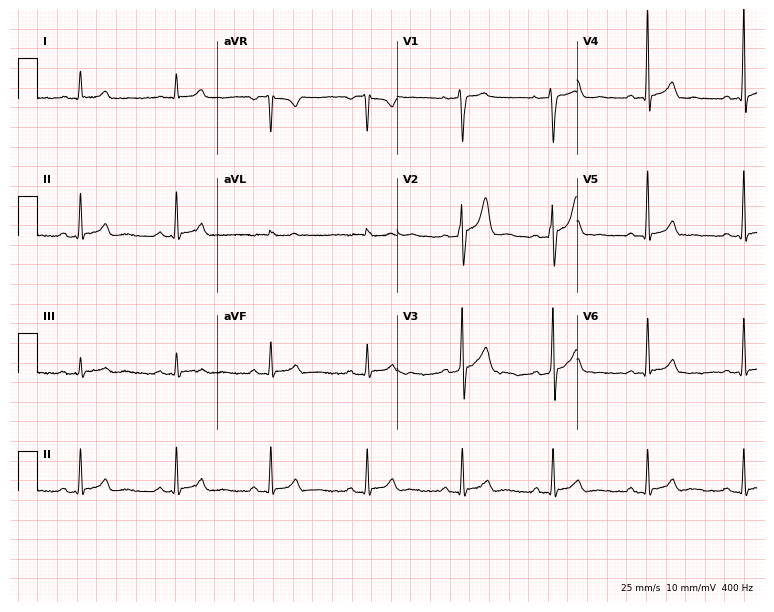
12-lead ECG (7.3-second recording at 400 Hz) from a male, 30 years old. Screened for six findings — first-degree AV block, right bundle branch block, left bundle branch block, sinus bradycardia, atrial fibrillation, sinus tachycardia — none is recorded. Findings outside these six are not listed.